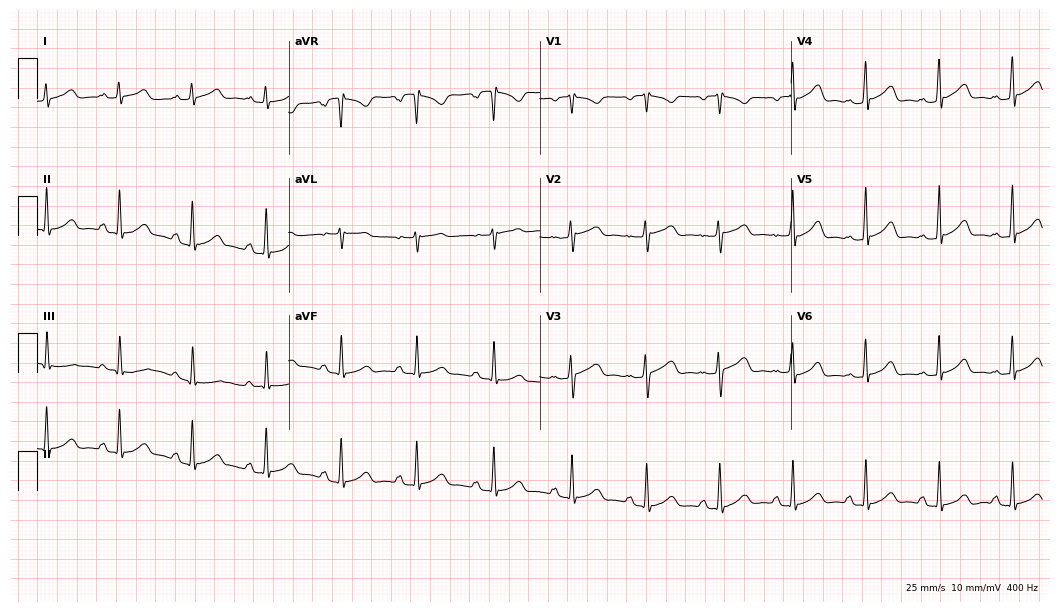
Resting 12-lead electrocardiogram (10.2-second recording at 400 Hz). Patient: a woman, 28 years old. Read as a normal ECG.